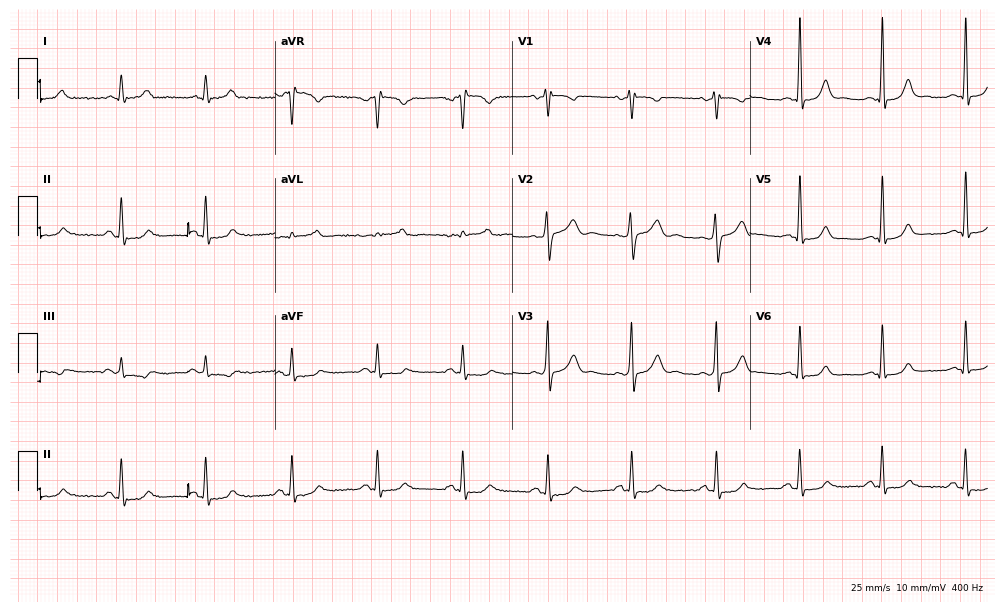
12-lead ECG from a 55-year-old male (9.7-second recording at 400 Hz). Recorded interpretation: within normal limits.